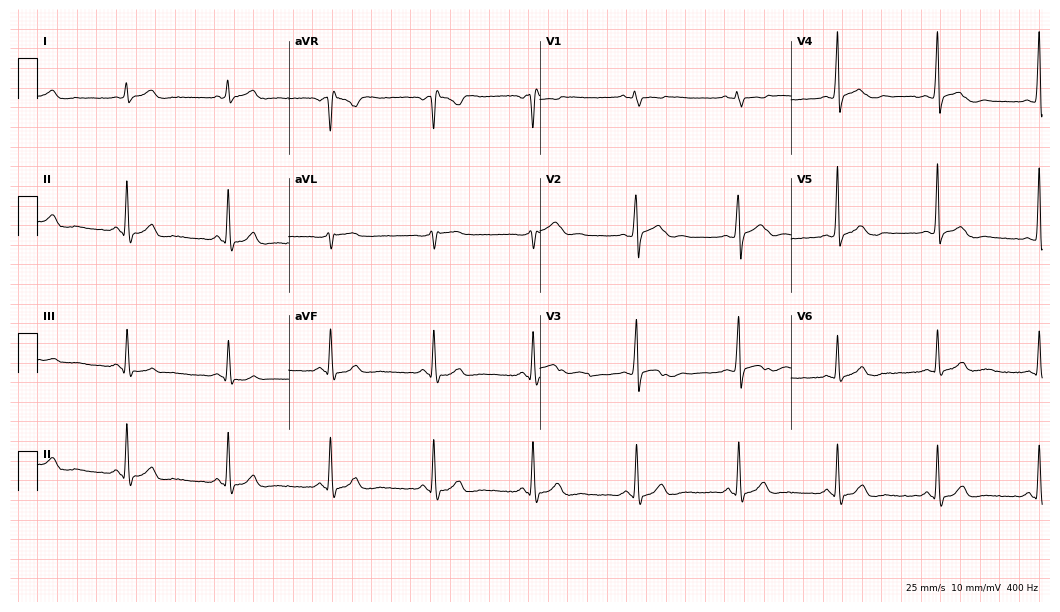
12-lead ECG (10.2-second recording at 400 Hz) from a 26-year-old male. Screened for six findings — first-degree AV block, right bundle branch block, left bundle branch block, sinus bradycardia, atrial fibrillation, sinus tachycardia — none is recorded.